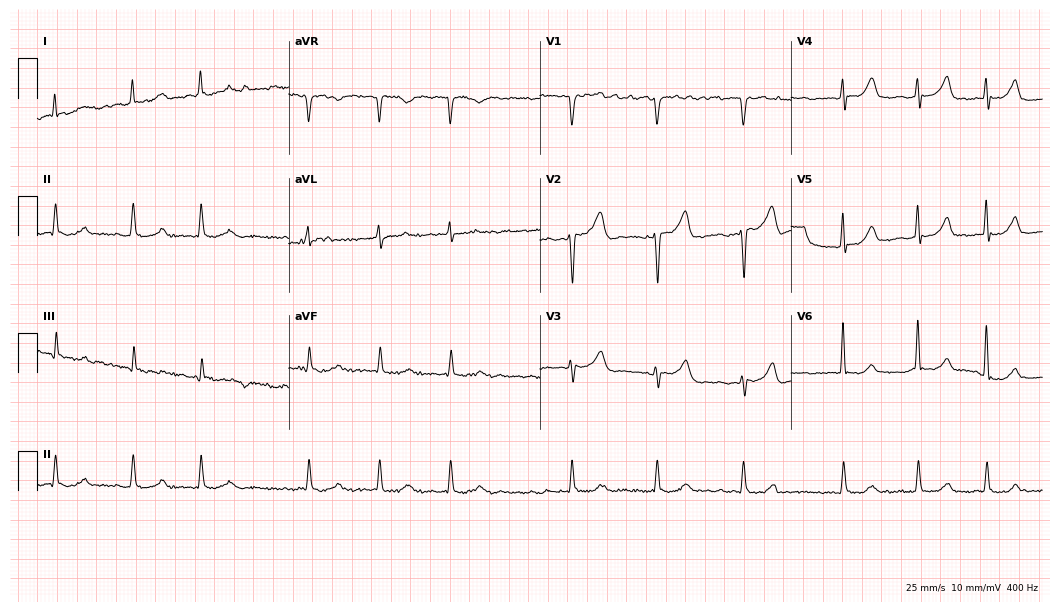
12-lead ECG from a 75-year-old male patient. Shows atrial fibrillation.